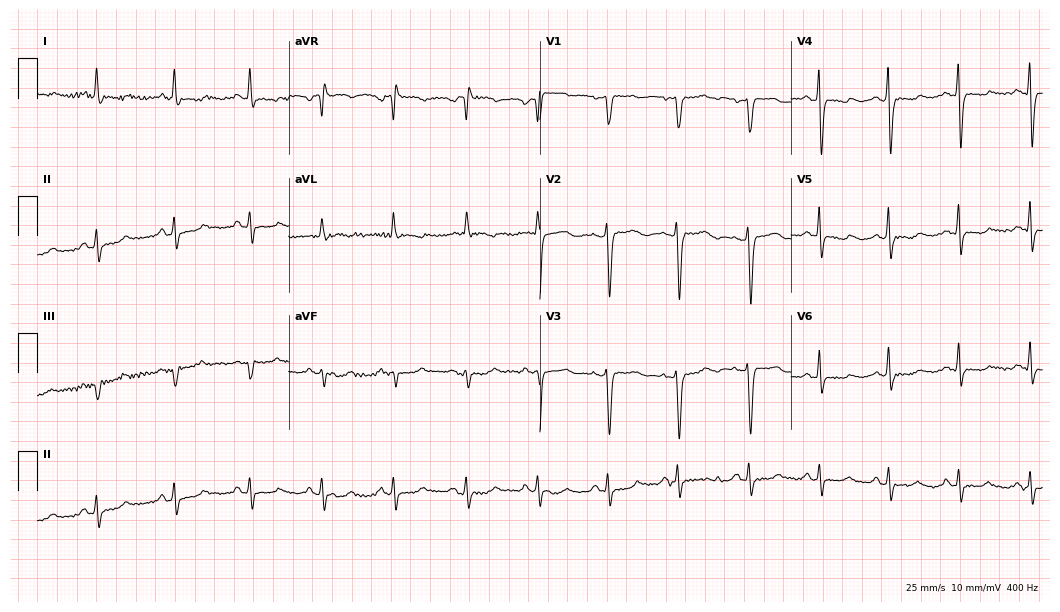
ECG — a female patient, 58 years old. Screened for six findings — first-degree AV block, right bundle branch block, left bundle branch block, sinus bradycardia, atrial fibrillation, sinus tachycardia — none is recorded. Only these six findings were labelled.